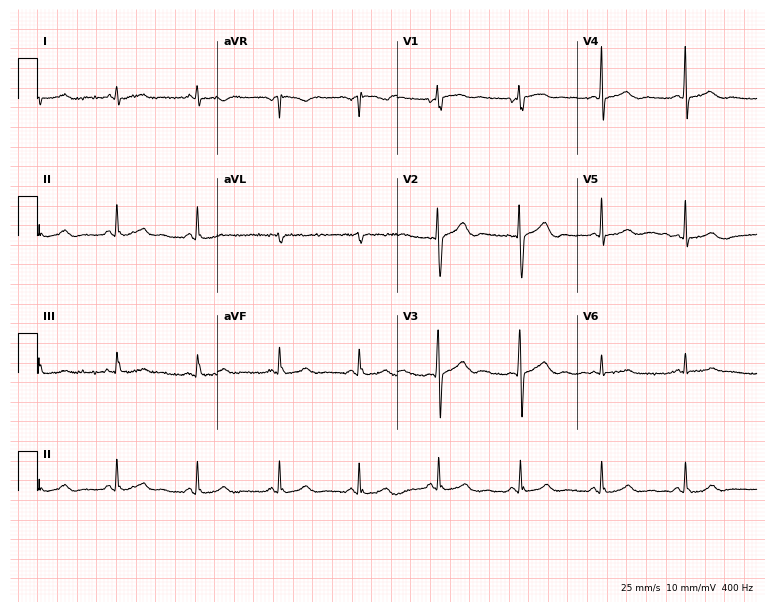
Electrocardiogram (7.3-second recording at 400 Hz), a female, 28 years old. Of the six screened findings (first-degree AV block, right bundle branch block (RBBB), left bundle branch block (LBBB), sinus bradycardia, atrial fibrillation (AF), sinus tachycardia), none is recorded.